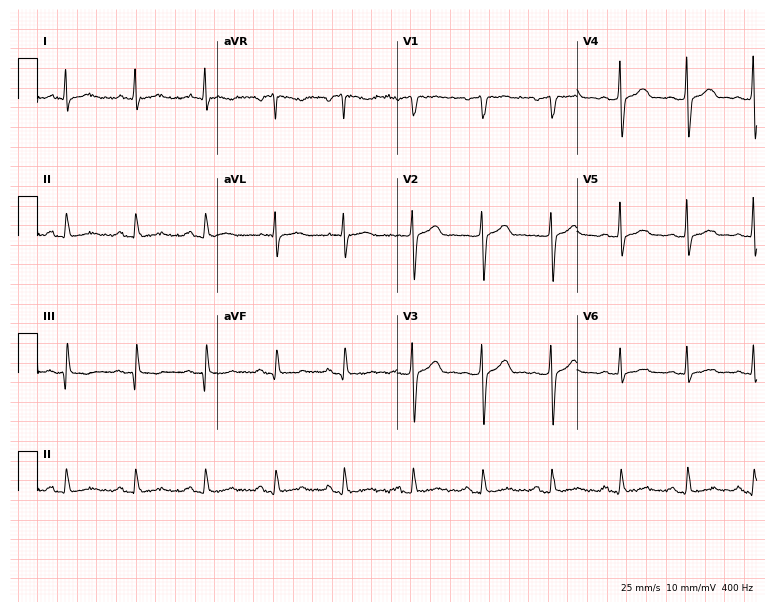
12-lead ECG from a male patient, 46 years old. Labelled as a normal ECG.